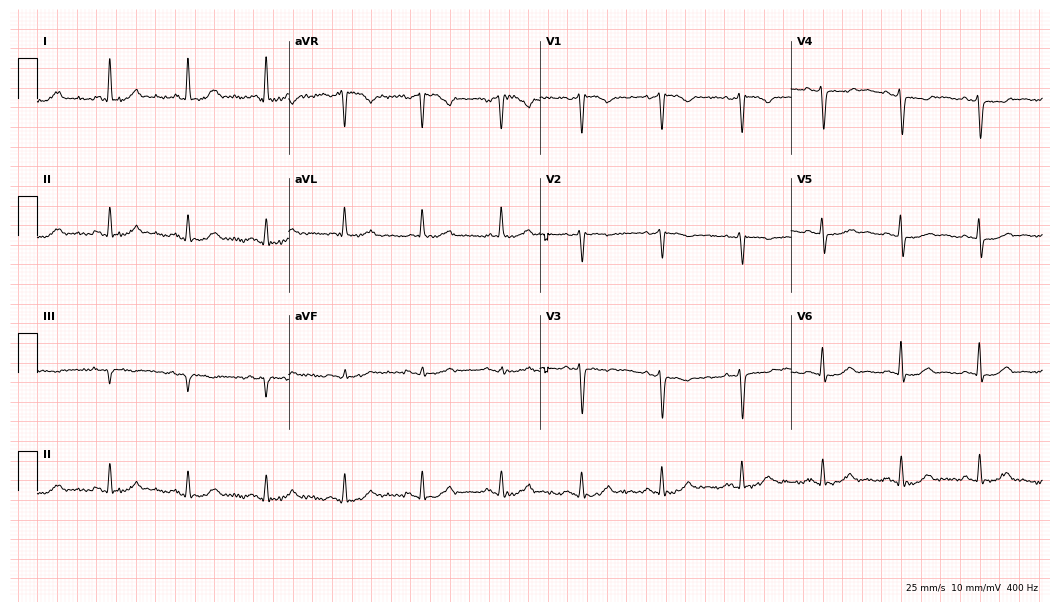
12-lead ECG from a woman, 69 years old (10.2-second recording at 400 Hz). No first-degree AV block, right bundle branch block, left bundle branch block, sinus bradycardia, atrial fibrillation or sinus tachycardia recorded for this tracing.